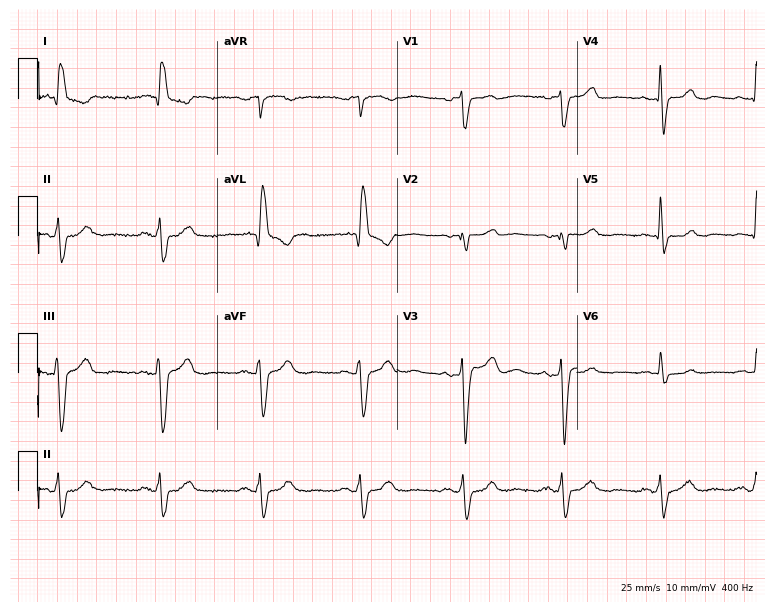
12-lead ECG from a female, 83 years old (7.3-second recording at 400 Hz). No first-degree AV block, right bundle branch block, left bundle branch block, sinus bradycardia, atrial fibrillation or sinus tachycardia recorded for this tracing.